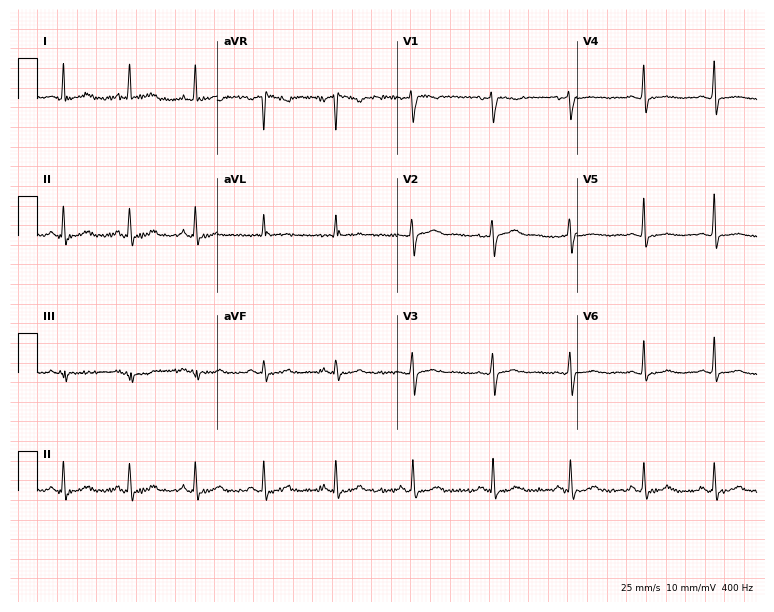
12-lead ECG (7.3-second recording at 400 Hz) from a female patient, 39 years old. Screened for six findings — first-degree AV block, right bundle branch block, left bundle branch block, sinus bradycardia, atrial fibrillation, sinus tachycardia — none is recorded. Only these six findings were labelled.